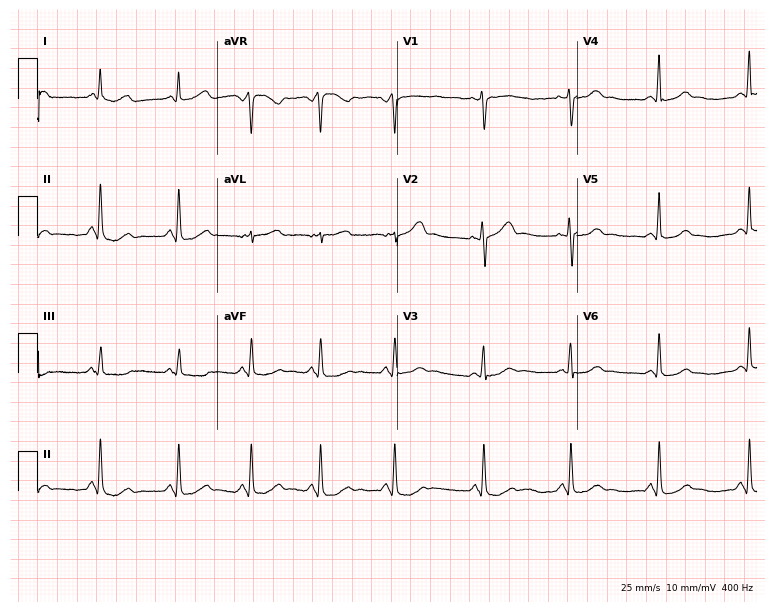
Standard 12-lead ECG recorded from a 45-year-old woman. None of these six findings is recorded: first-degree AV block, right bundle branch block, left bundle branch block, sinus bradycardia, atrial fibrillation, sinus tachycardia. Only these six findings were labelled.